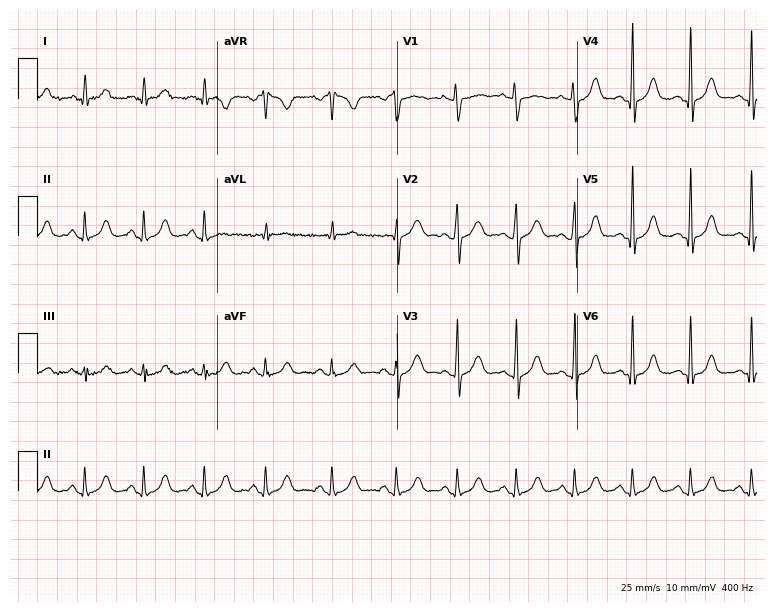
12-lead ECG (7.3-second recording at 400 Hz) from a 31-year-old female. Labelled as a normal ECG.